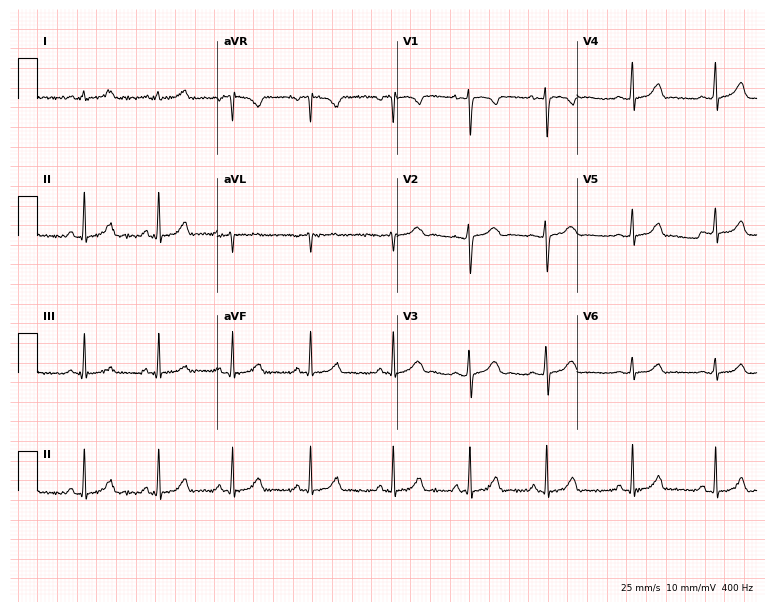
ECG — a 19-year-old female. Labelled as a normal ECG.